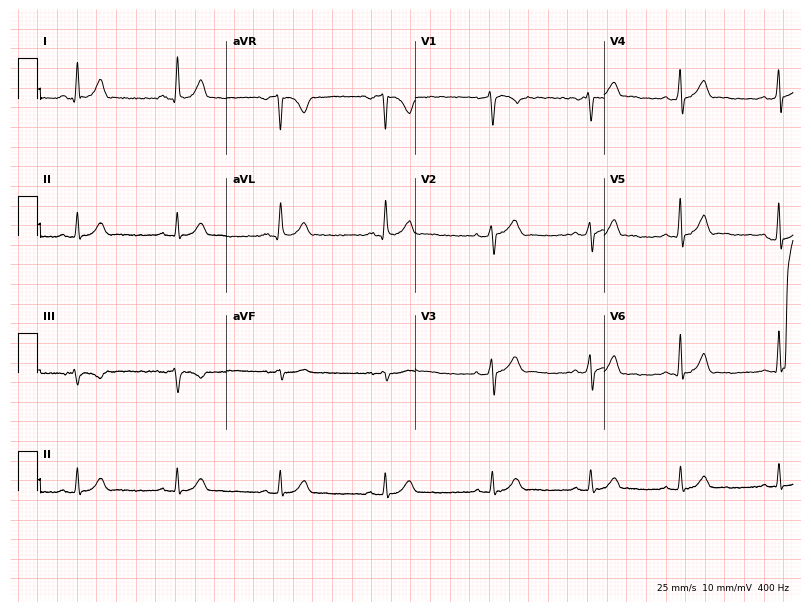
ECG — a male, 32 years old. Labelled as a normal ECG.